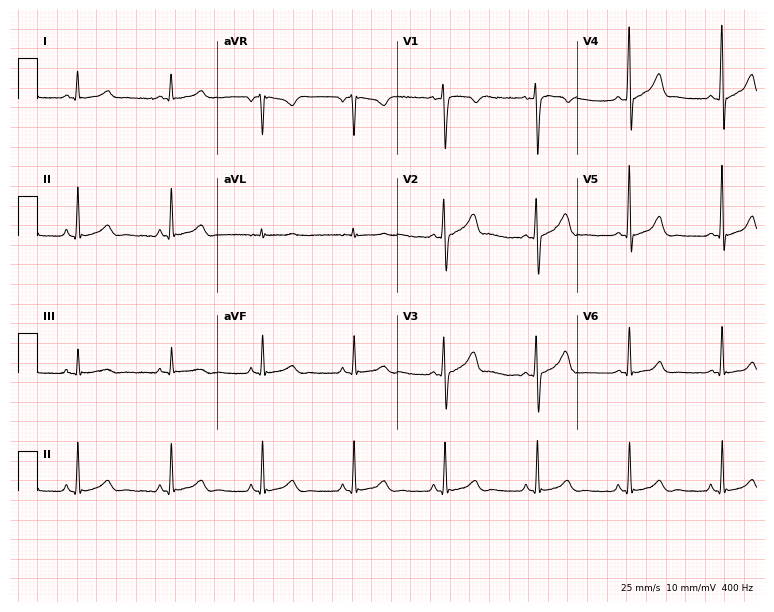
12-lead ECG from a male, 40 years old (7.3-second recording at 400 Hz). No first-degree AV block, right bundle branch block (RBBB), left bundle branch block (LBBB), sinus bradycardia, atrial fibrillation (AF) or sinus tachycardia recorded for this tracing. Other findings, if any, are not listed.